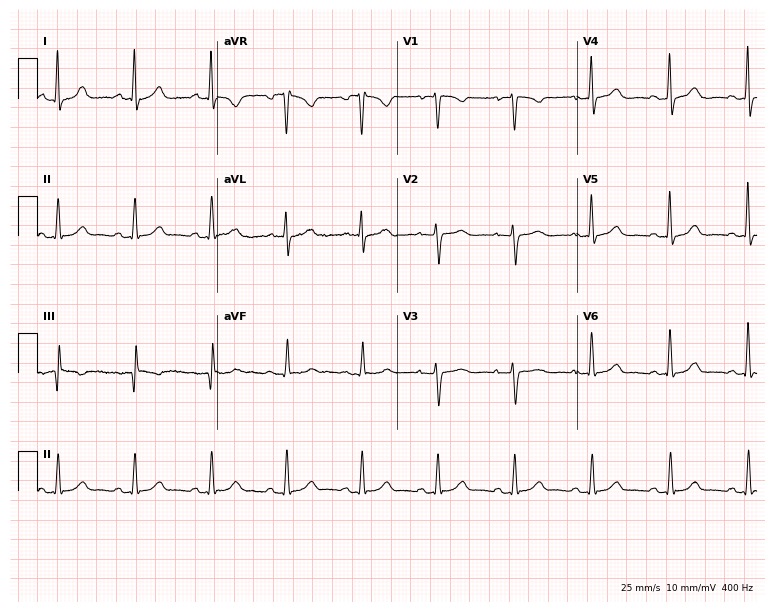
Resting 12-lead electrocardiogram (7.3-second recording at 400 Hz). Patient: a female, 43 years old. Read as a normal ECG.